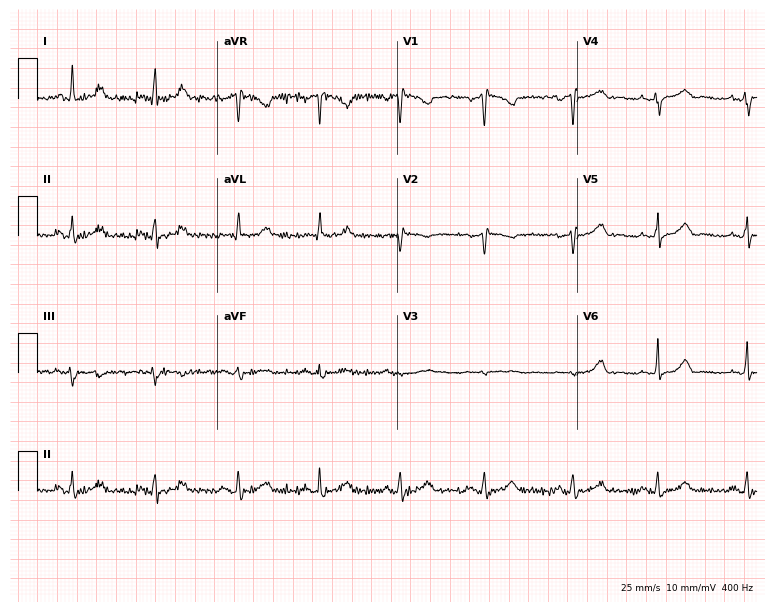
ECG (7.3-second recording at 400 Hz) — a female patient, 41 years old. Screened for six findings — first-degree AV block, right bundle branch block (RBBB), left bundle branch block (LBBB), sinus bradycardia, atrial fibrillation (AF), sinus tachycardia — none is recorded.